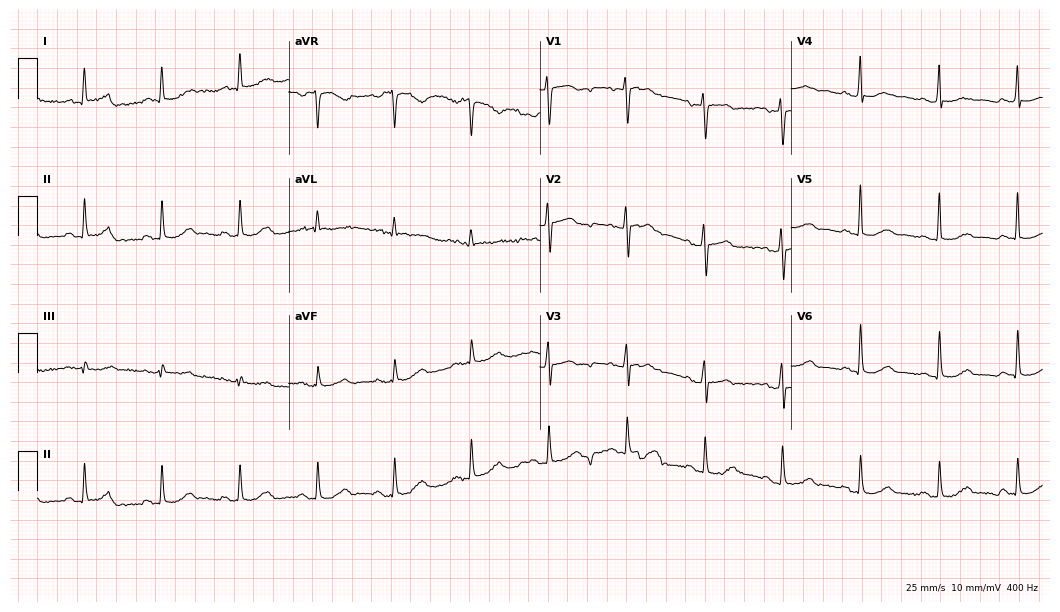
Standard 12-lead ECG recorded from a 69-year-old female patient (10.2-second recording at 400 Hz). Read as a normal ECG.